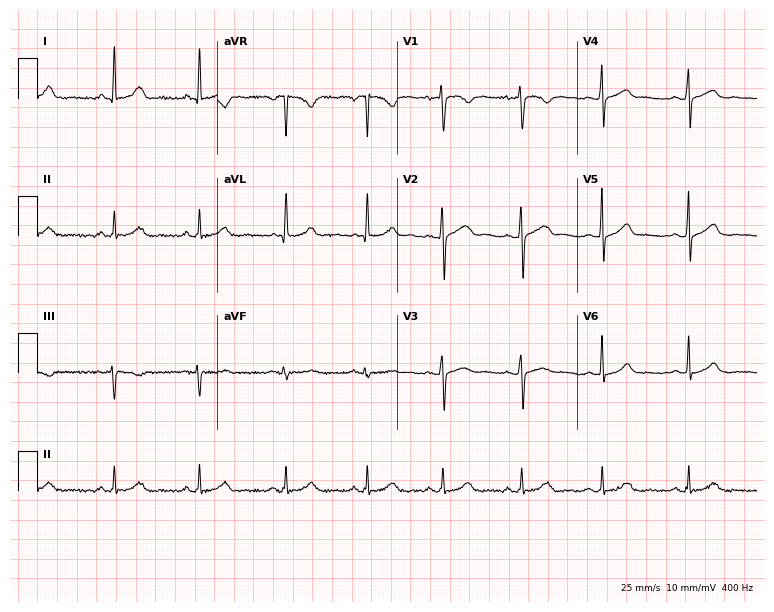
12-lead ECG from a female patient, 43 years old (7.3-second recording at 400 Hz). Recorded interpretation: within normal limits.